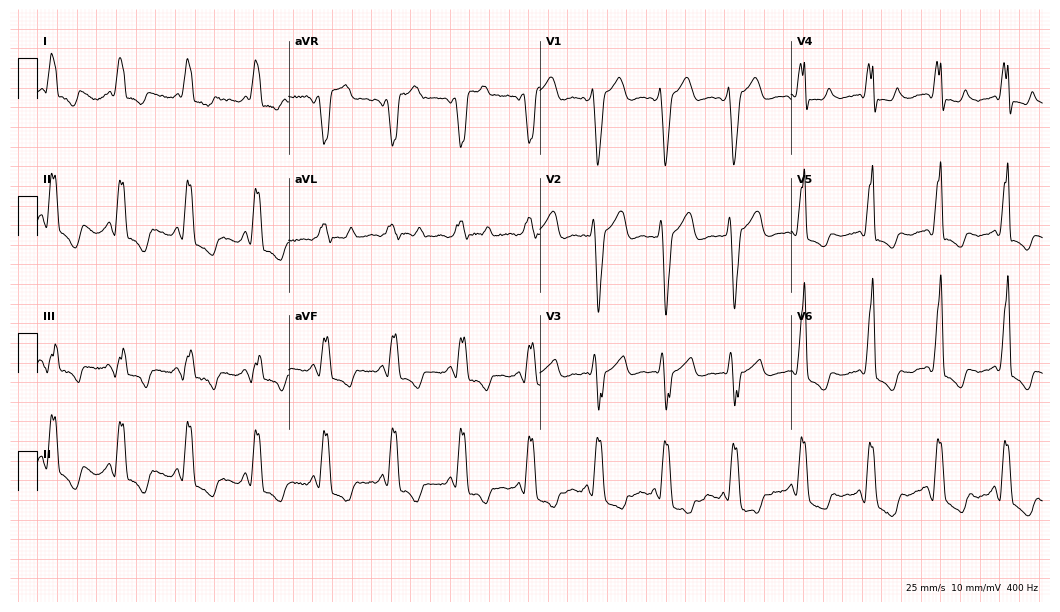
Resting 12-lead electrocardiogram. Patient: a 36-year-old man. The tracing shows left bundle branch block.